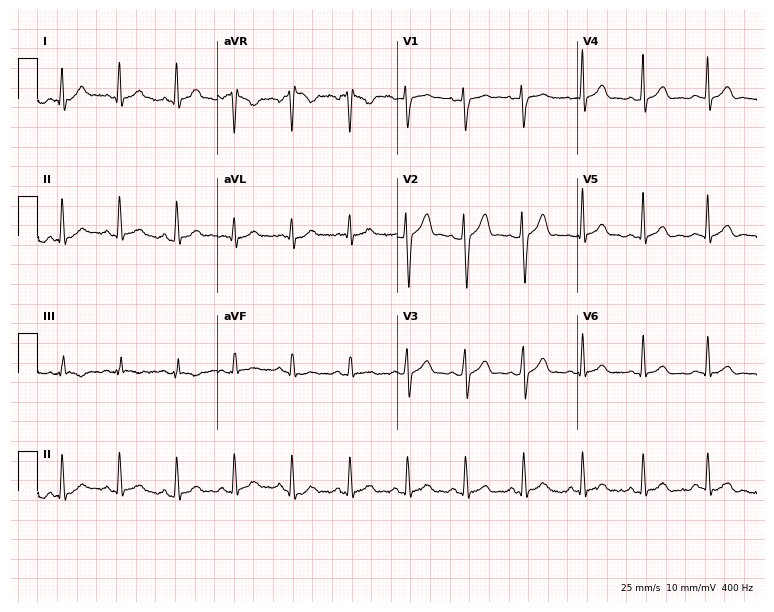
ECG — a male patient, 37 years old. Labelled as a normal ECG.